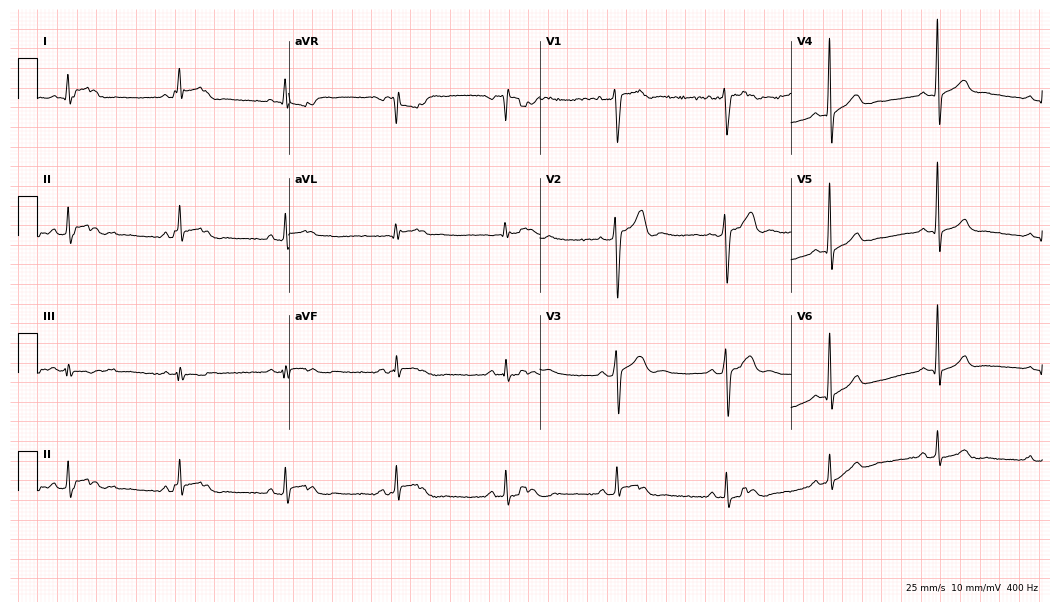
12-lead ECG from a 41-year-old man. No first-degree AV block, right bundle branch block, left bundle branch block, sinus bradycardia, atrial fibrillation or sinus tachycardia recorded for this tracing. Only these six findings were labelled.